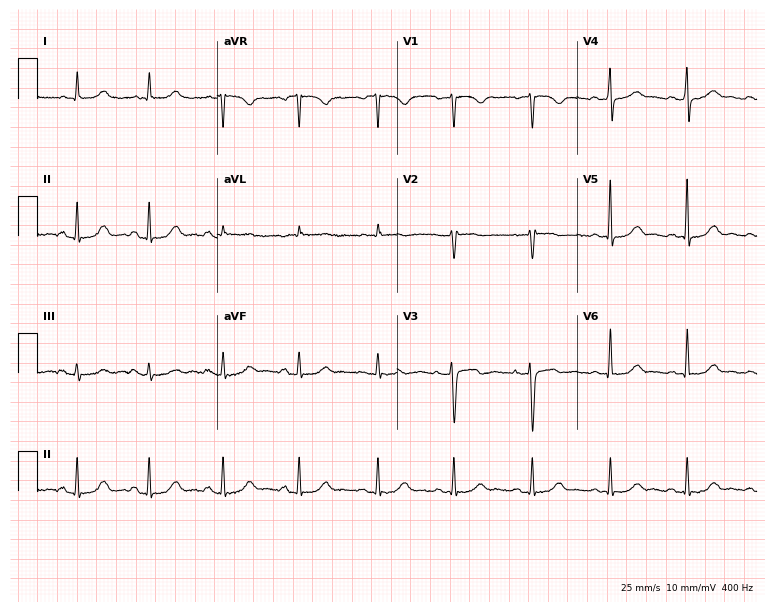
12-lead ECG from a 44-year-old female. Labelled as a normal ECG.